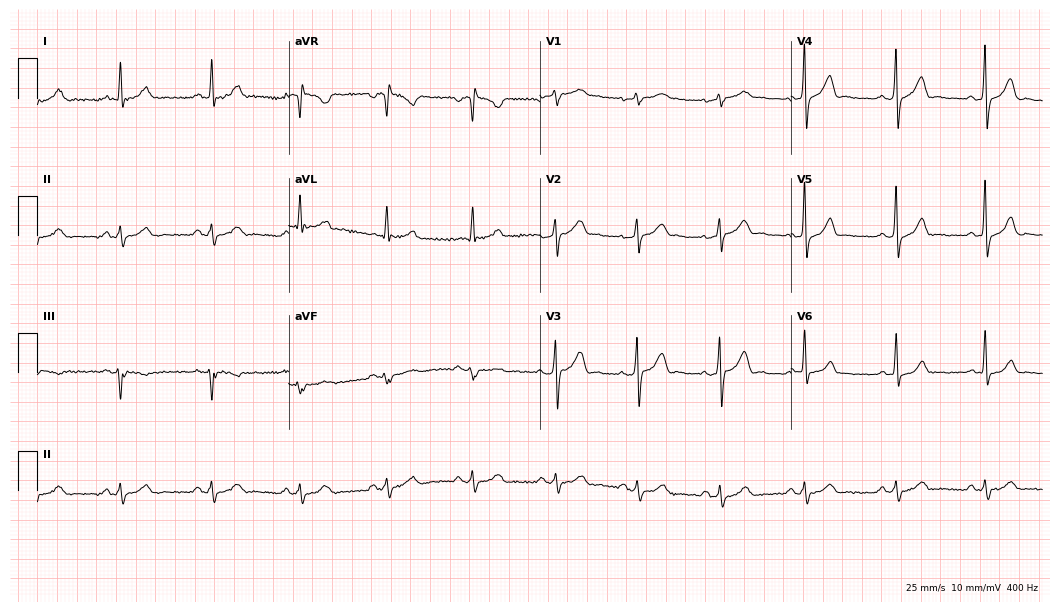
ECG — a 46-year-old male. Screened for six findings — first-degree AV block, right bundle branch block (RBBB), left bundle branch block (LBBB), sinus bradycardia, atrial fibrillation (AF), sinus tachycardia — none is recorded.